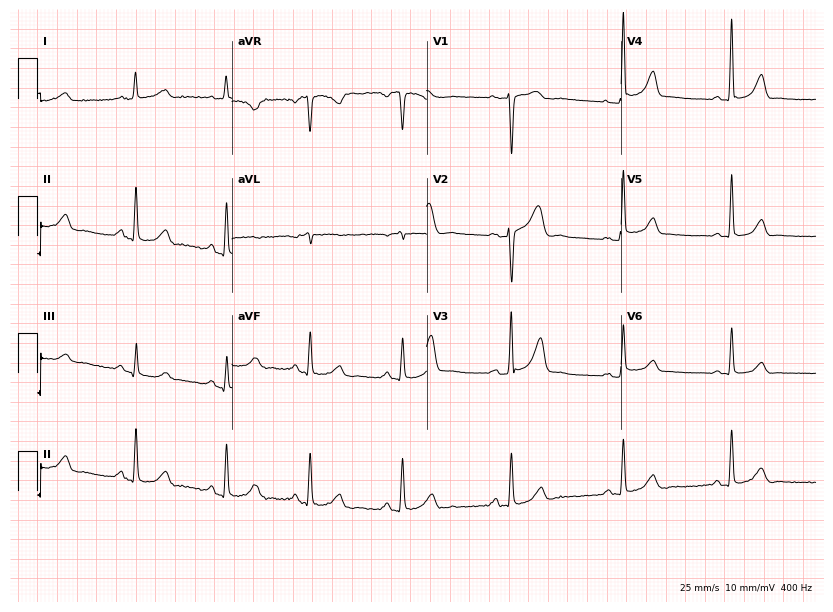
ECG — a woman, 50 years old. Labelled as a normal ECG.